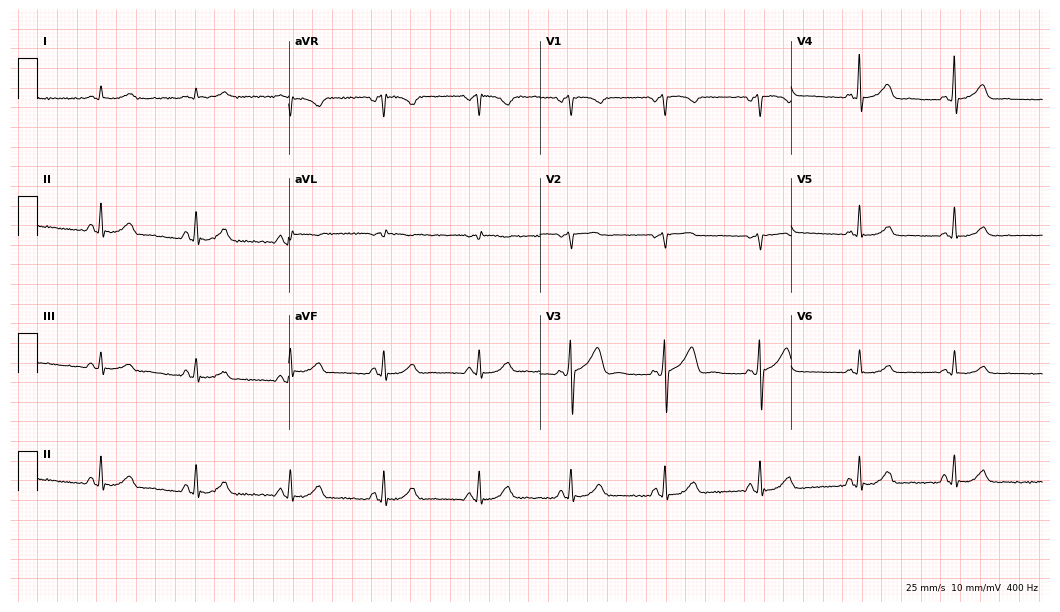
ECG (10.2-second recording at 400 Hz) — a 55-year-old male patient. Screened for six findings — first-degree AV block, right bundle branch block, left bundle branch block, sinus bradycardia, atrial fibrillation, sinus tachycardia — none is recorded.